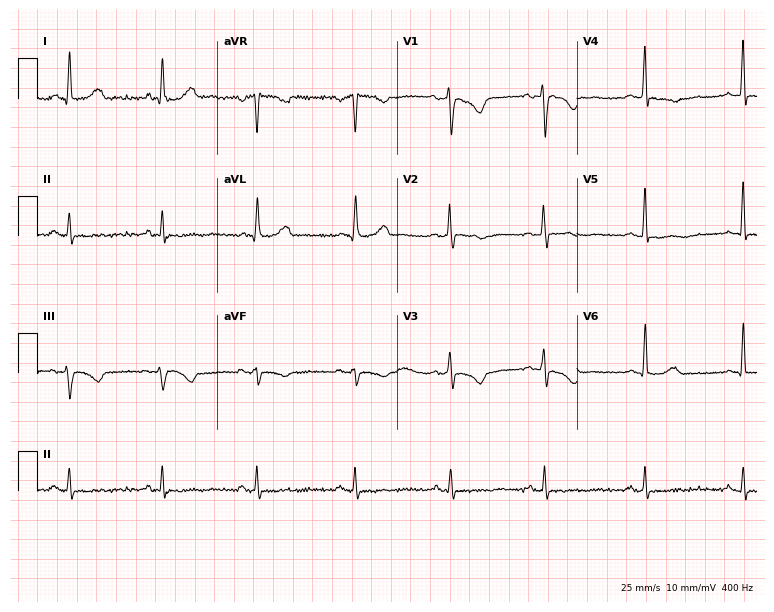
Electrocardiogram, a 56-year-old woman. Of the six screened findings (first-degree AV block, right bundle branch block, left bundle branch block, sinus bradycardia, atrial fibrillation, sinus tachycardia), none is recorded.